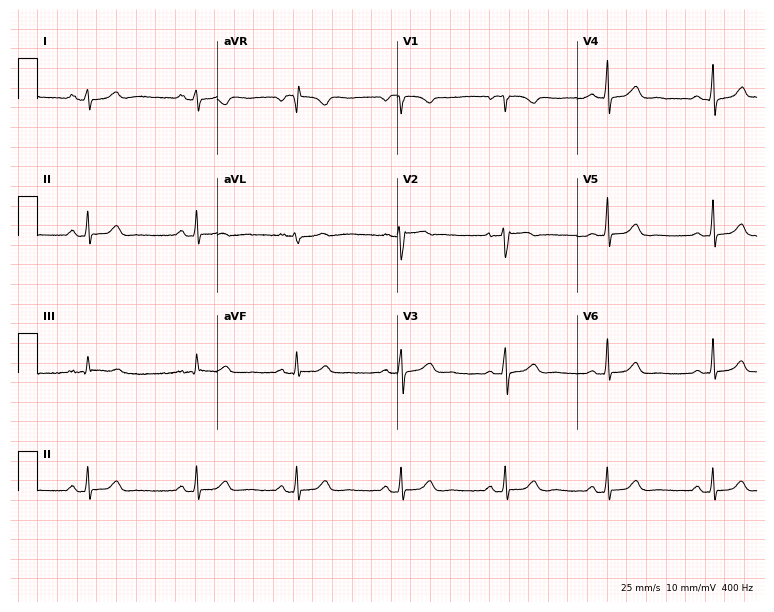
Standard 12-lead ECG recorded from a female patient, 44 years old (7.3-second recording at 400 Hz). Read as a normal ECG.